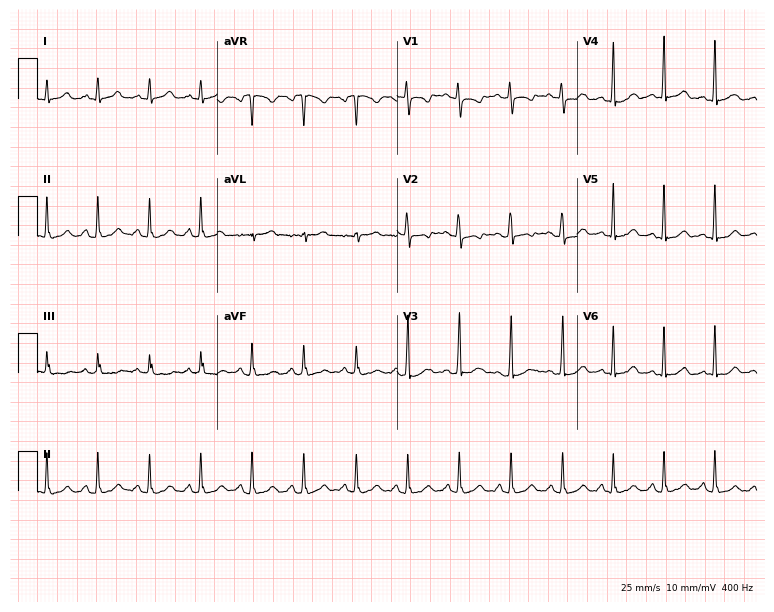
ECG — a 19-year-old female. Findings include sinus tachycardia (a sinus rate of 100 beats per minute or more).